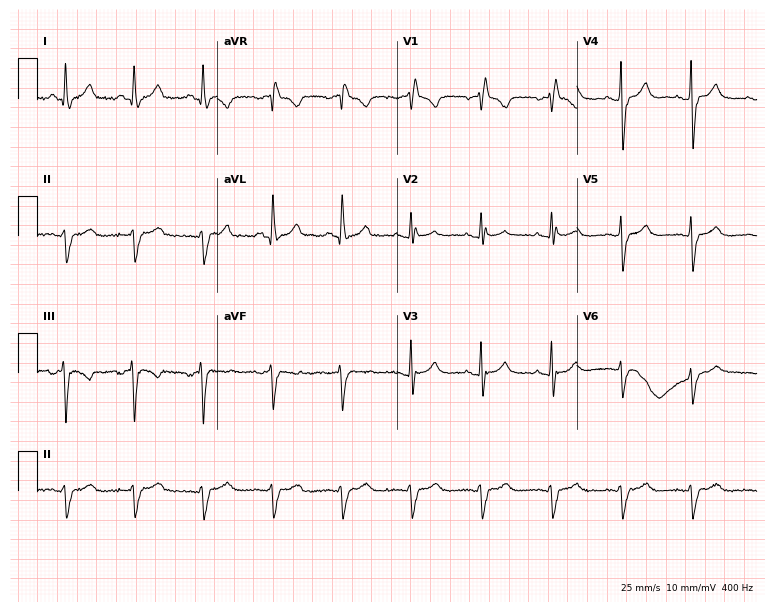
12-lead ECG (7.3-second recording at 400 Hz) from a woman, 49 years old. Screened for six findings — first-degree AV block, right bundle branch block (RBBB), left bundle branch block (LBBB), sinus bradycardia, atrial fibrillation (AF), sinus tachycardia — none is recorded.